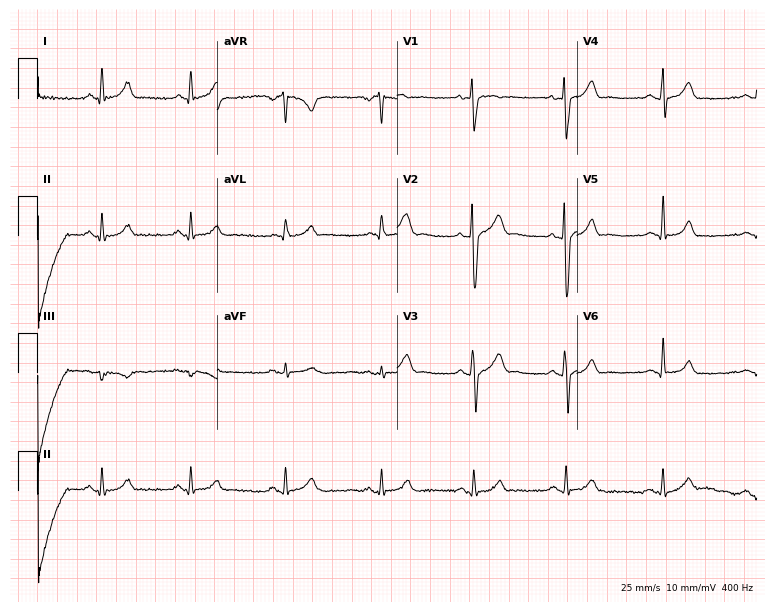
ECG (7.3-second recording at 400 Hz) — a 31-year-old male patient. Labelled as a normal ECG.